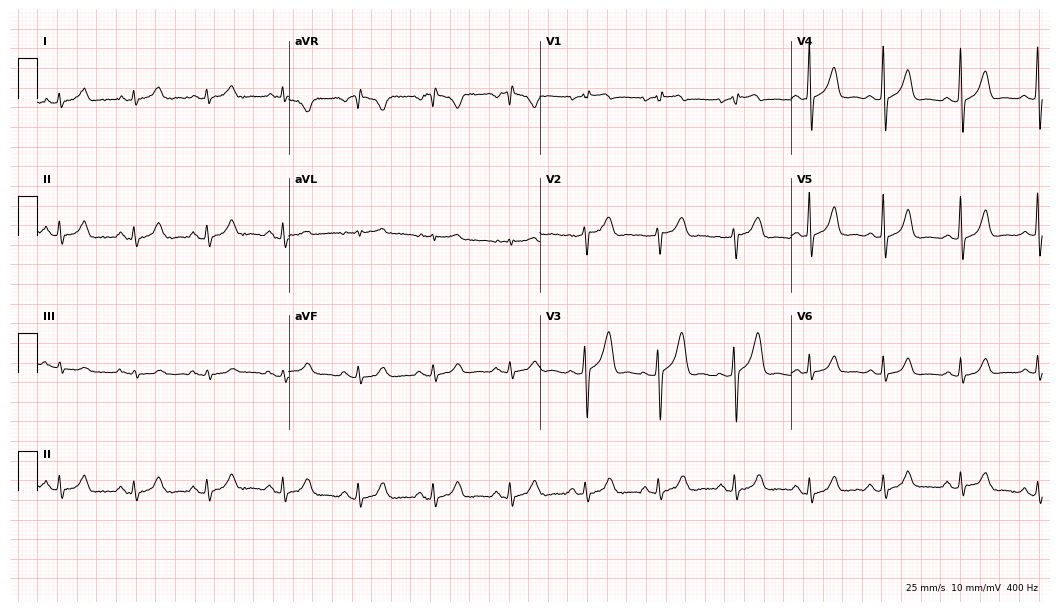
Standard 12-lead ECG recorded from a woman, 67 years old. None of these six findings is recorded: first-degree AV block, right bundle branch block, left bundle branch block, sinus bradycardia, atrial fibrillation, sinus tachycardia. Only these six findings were labelled.